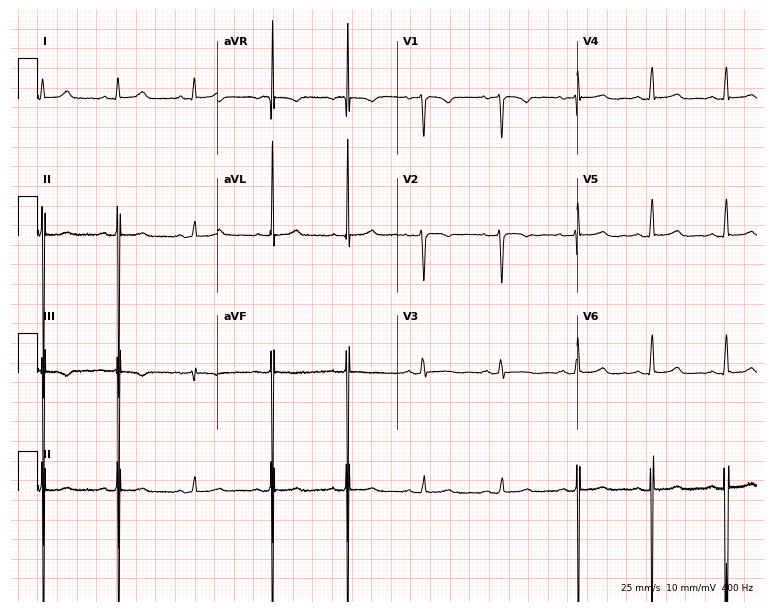
Resting 12-lead electrocardiogram (7.3-second recording at 400 Hz). Patient: a female, 44 years old. None of these six findings is recorded: first-degree AV block, right bundle branch block, left bundle branch block, sinus bradycardia, atrial fibrillation, sinus tachycardia.